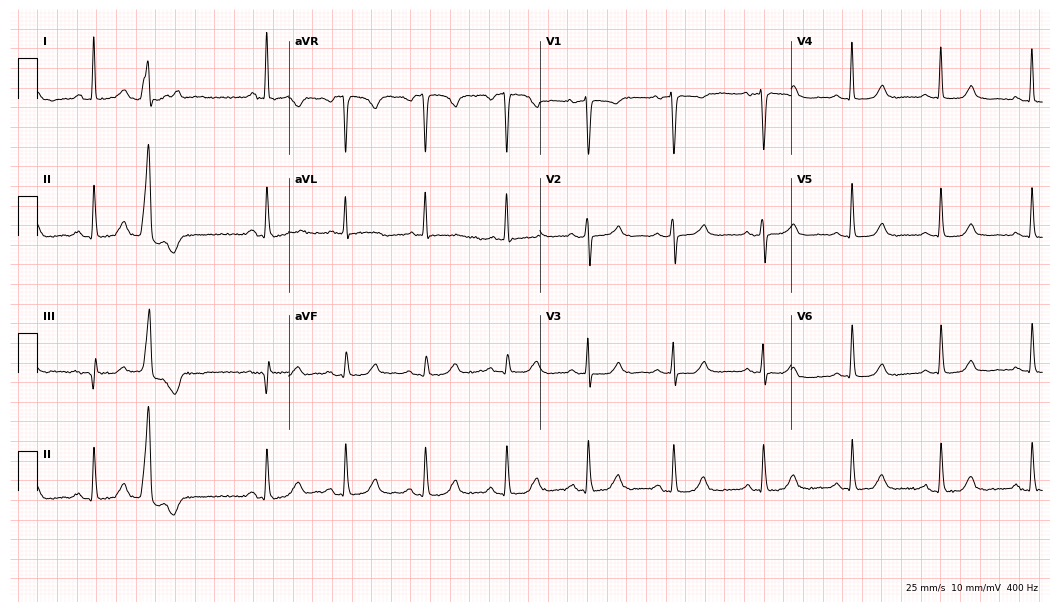
Electrocardiogram (10.2-second recording at 400 Hz), a 68-year-old female patient. Of the six screened findings (first-degree AV block, right bundle branch block (RBBB), left bundle branch block (LBBB), sinus bradycardia, atrial fibrillation (AF), sinus tachycardia), none is recorded. Only these six findings were labelled.